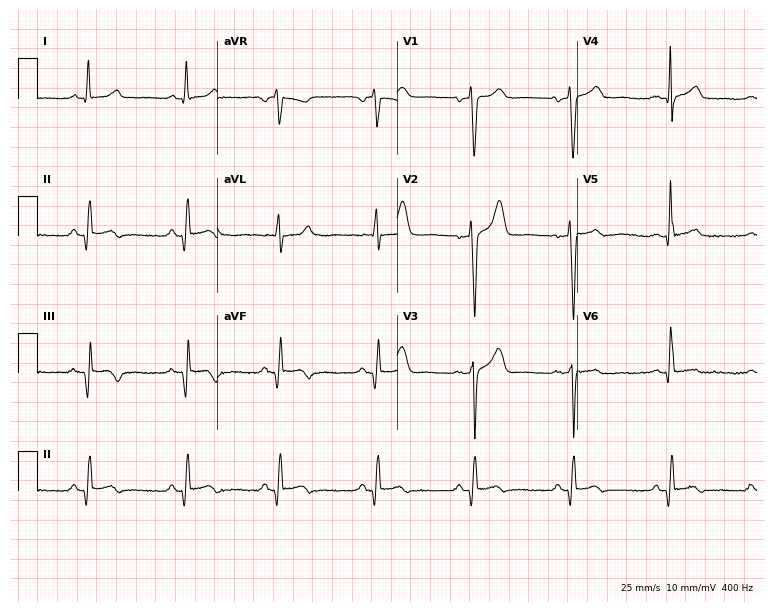
Electrocardiogram, a 45-year-old male patient. Of the six screened findings (first-degree AV block, right bundle branch block, left bundle branch block, sinus bradycardia, atrial fibrillation, sinus tachycardia), none is recorded. Only these six findings were labelled.